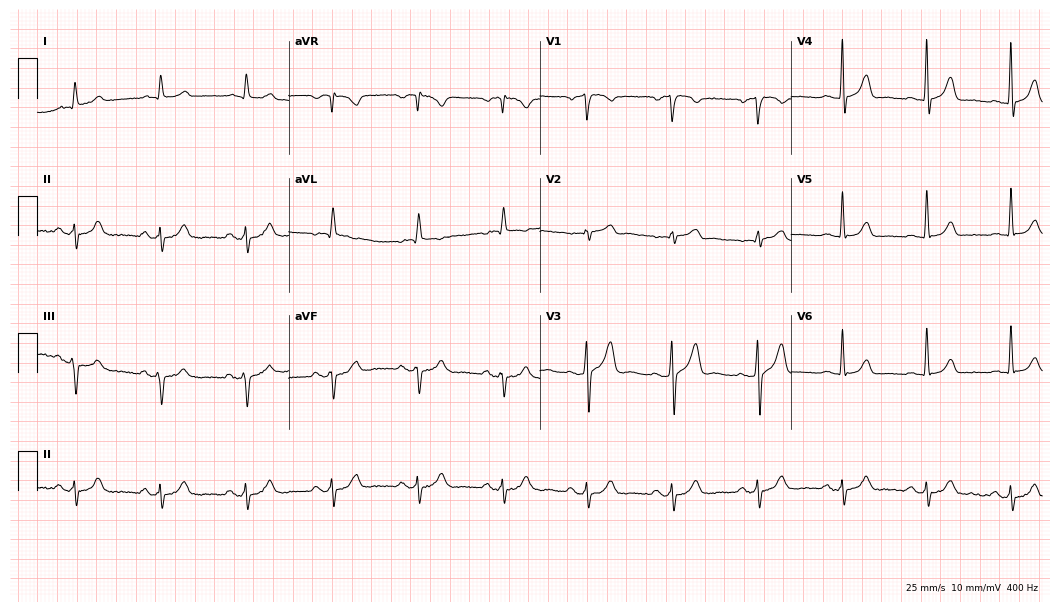
12-lead ECG from a 67-year-old man. Screened for six findings — first-degree AV block, right bundle branch block (RBBB), left bundle branch block (LBBB), sinus bradycardia, atrial fibrillation (AF), sinus tachycardia — none is recorded. Other findings, if any, are not listed.